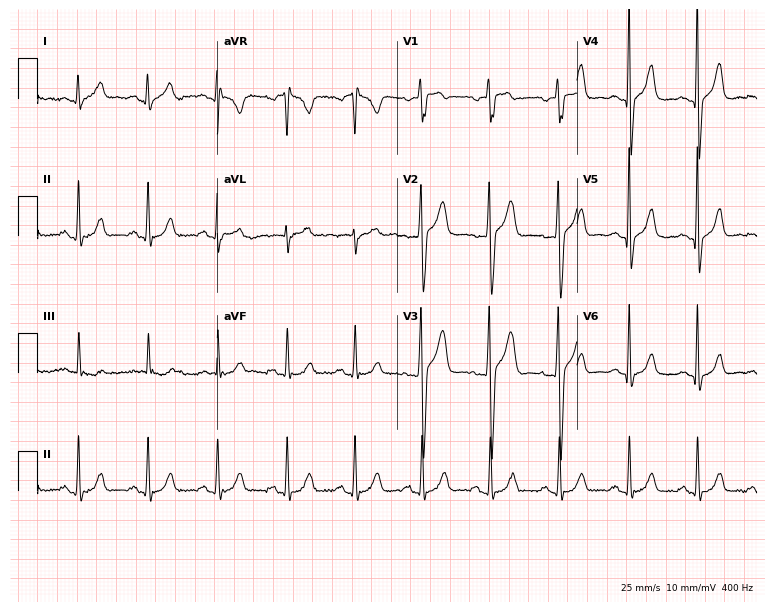
Electrocardiogram, a 51-year-old female patient. Overall reading on record: normal ECG.